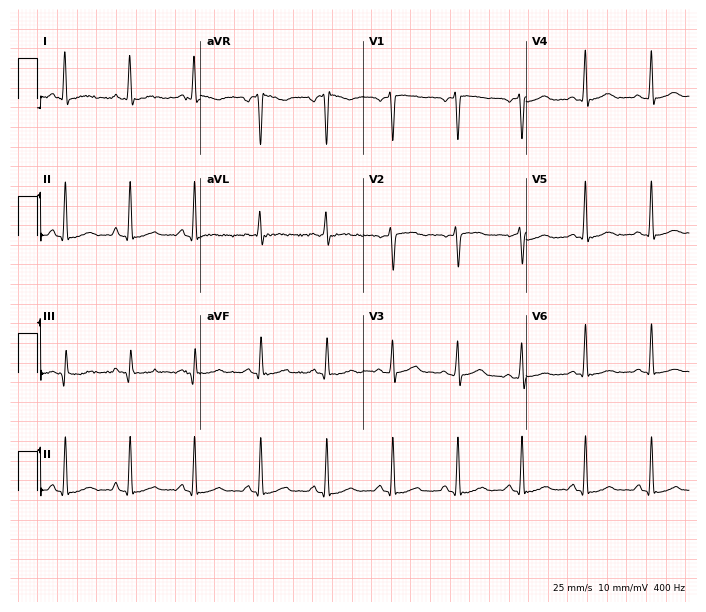
Resting 12-lead electrocardiogram. Patient: a female, 27 years old. None of these six findings is recorded: first-degree AV block, right bundle branch block, left bundle branch block, sinus bradycardia, atrial fibrillation, sinus tachycardia. Other findings, if any, are not listed.